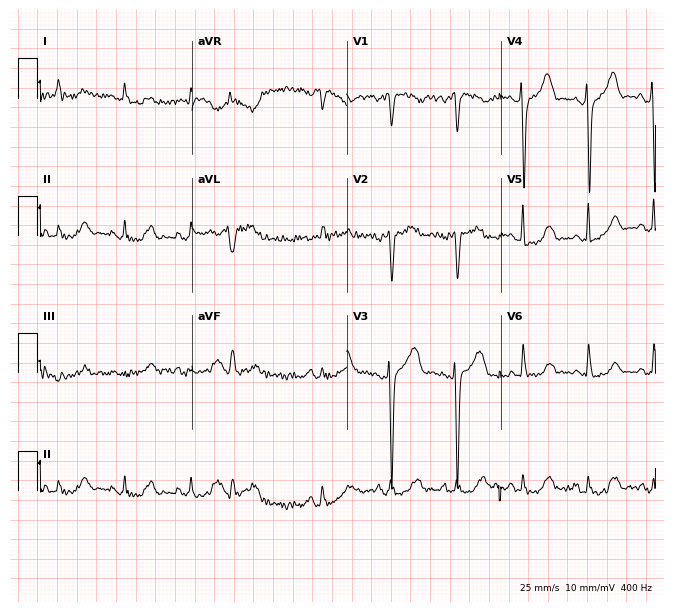
12-lead ECG (6.3-second recording at 400 Hz) from an 81-year-old female. Screened for six findings — first-degree AV block, right bundle branch block, left bundle branch block, sinus bradycardia, atrial fibrillation, sinus tachycardia — none is recorded. Only these six findings were labelled.